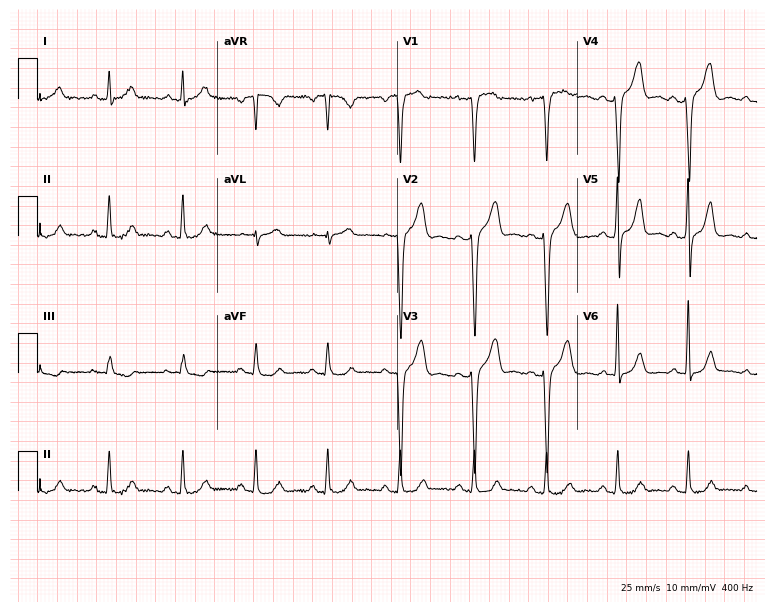
Resting 12-lead electrocardiogram (7.3-second recording at 400 Hz). Patient: a female, 43 years old. None of these six findings is recorded: first-degree AV block, right bundle branch block, left bundle branch block, sinus bradycardia, atrial fibrillation, sinus tachycardia.